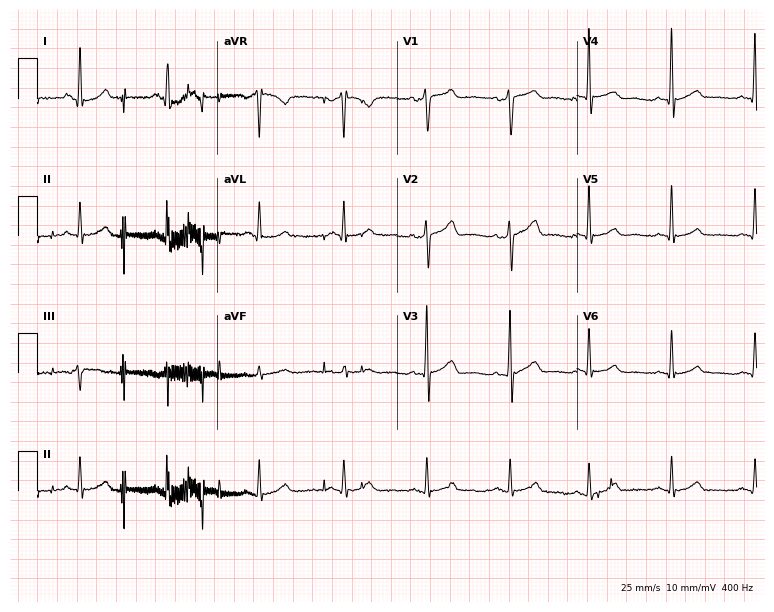
12-lead ECG from a 46-year-old male patient (7.3-second recording at 400 Hz). Recorded interpretation: within normal limits.